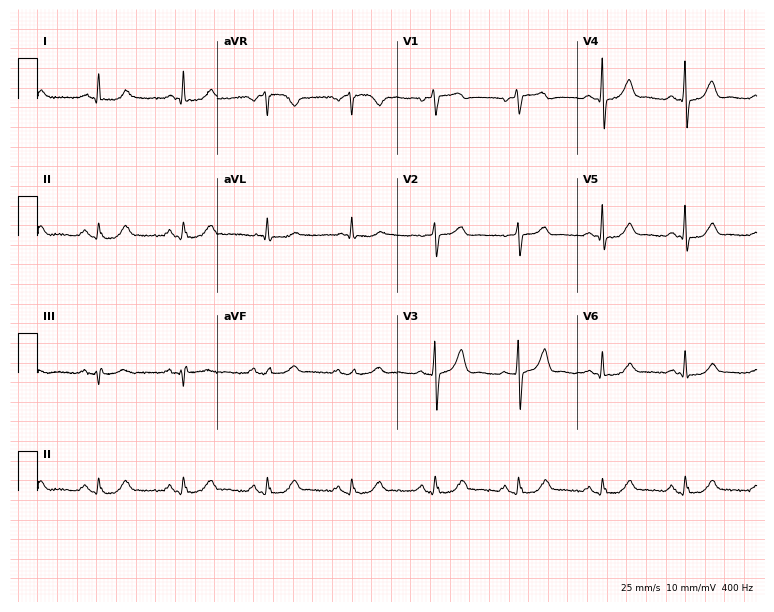
Standard 12-lead ECG recorded from a man, 82 years old. Read as a normal ECG.